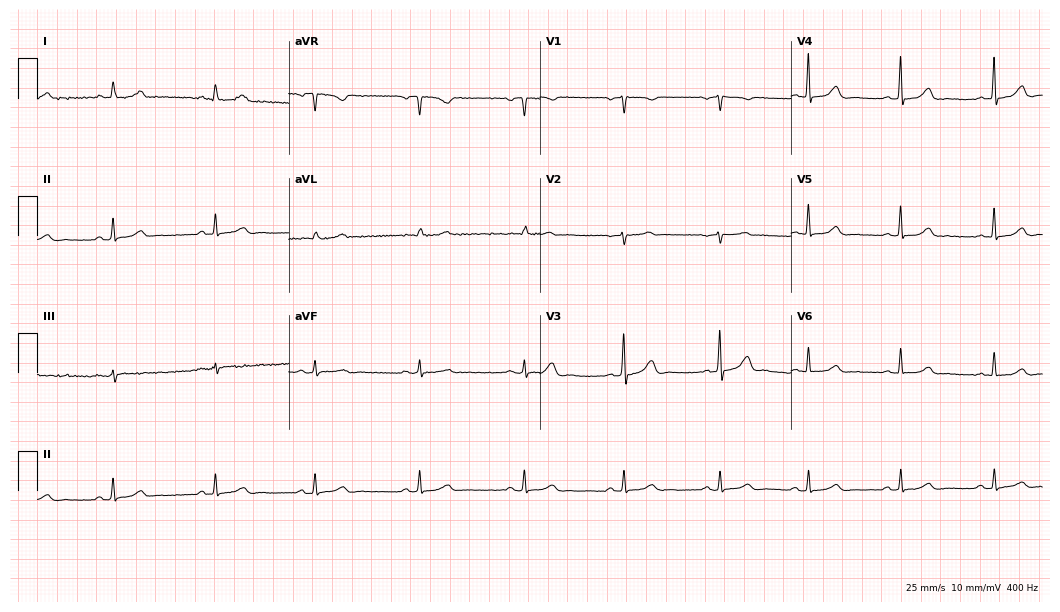
Resting 12-lead electrocardiogram. Patient: a 45-year-old female. Read as a normal ECG.